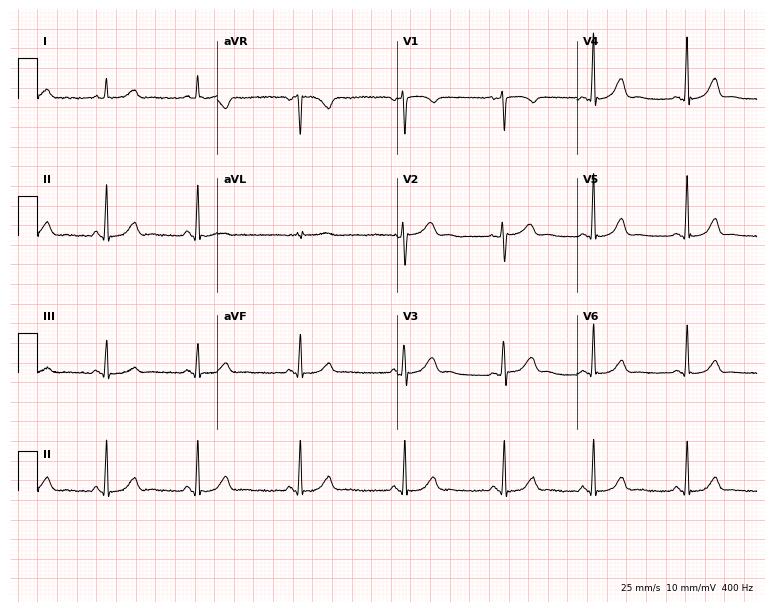
12-lead ECG from a 50-year-old woman (7.3-second recording at 400 Hz). No first-degree AV block, right bundle branch block, left bundle branch block, sinus bradycardia, atrial fibrillation or sinus tachycardia recorded for this tracing. Only these six findings were labelled.